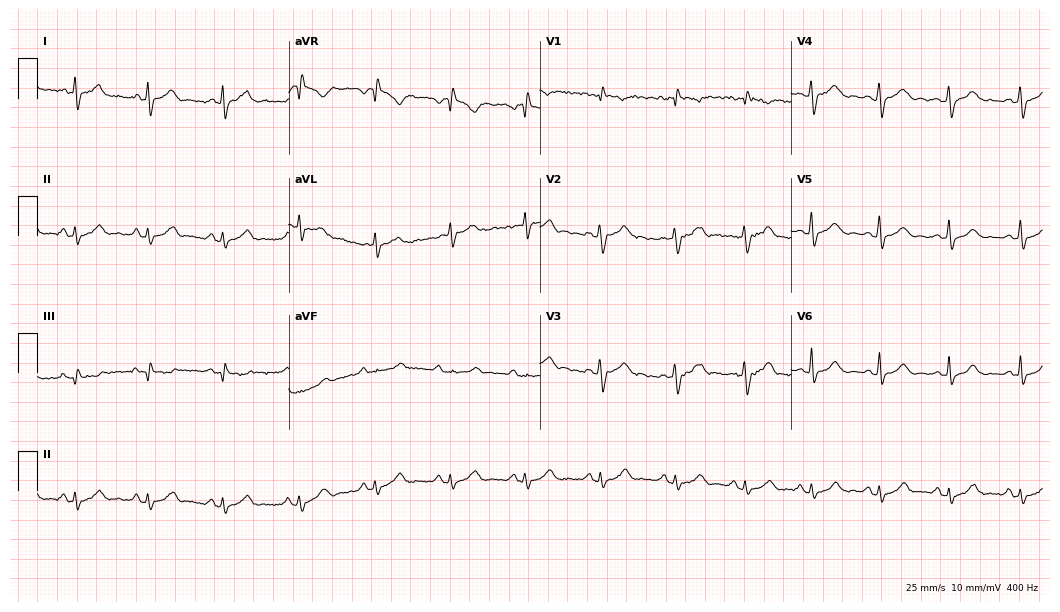
ECG (10.2-second recording at 400 Hz) — a 33-year-old female. Screened for six findings — first-degree AV block, right bundle branch block, left bundle branch block, sinus bradycardia, atrial fibrillation, sinus tachycardia — none is recorded. Findings outside these six are not listed.